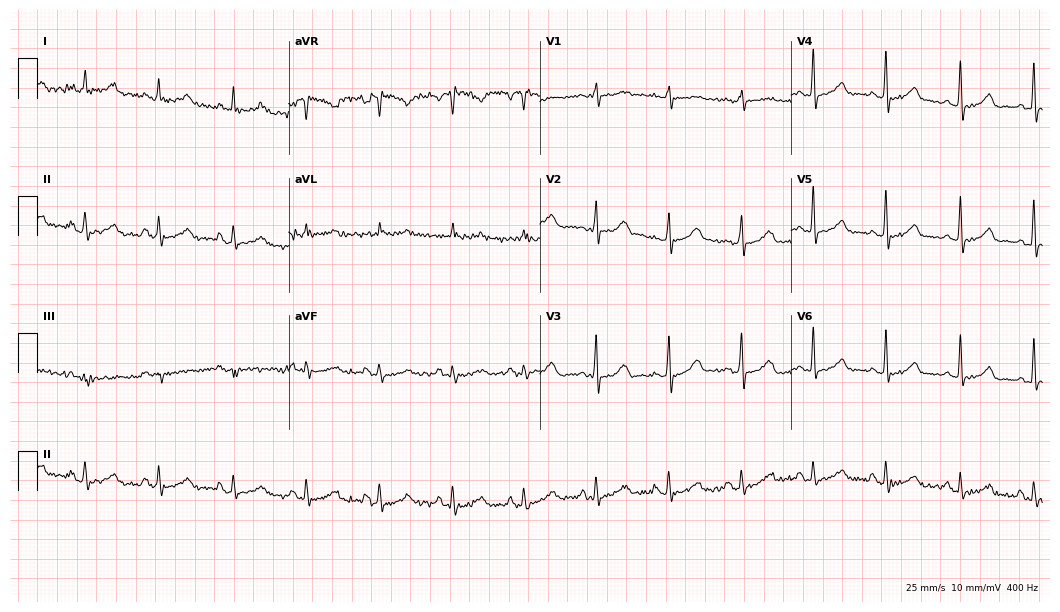
ECG (10.2-second recording at 400 Hz) — a female patient, 72 years old. Labelled as a normal ECG.